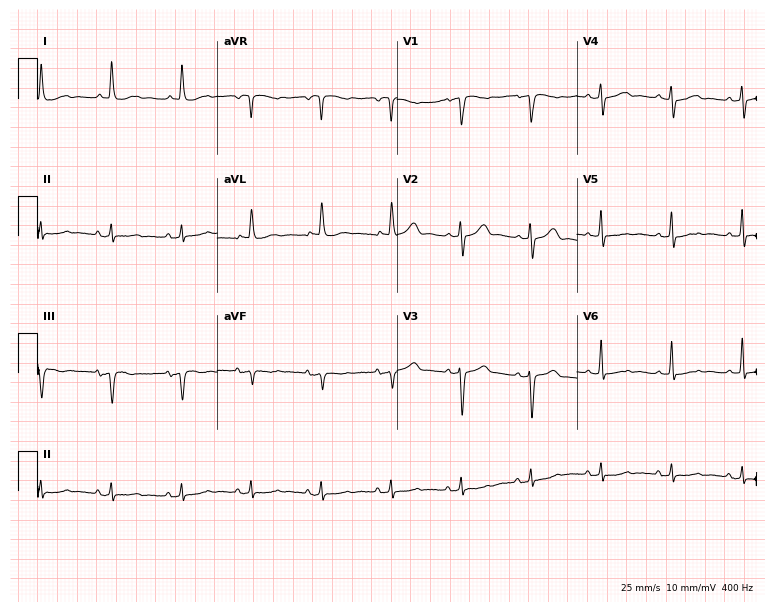
12-lead ECG (7.3-second recording at 400 Hz) from an 81-year-old female patient. Screened for six findings — first-degree AV block, right bundle branch block (RBBB), left bundle branch block (LBBB), sinus bradycardia, atrial fibrillation (AF), sinus tachycardia — none is recorded.